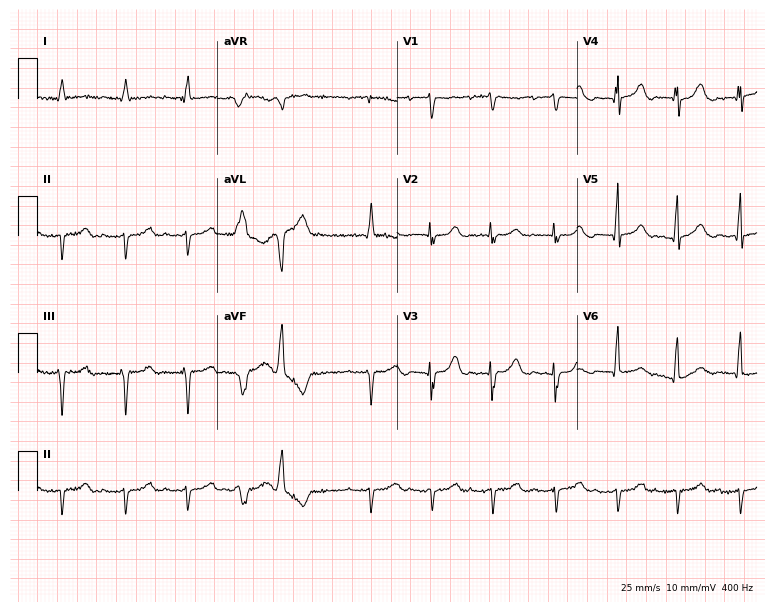
12-lead ECG from a 77-year-old male patient (7.3-second recording at 400 Hz). No first-degree AV block, right bundle branch block, left bundle branch block, sinus bradycardia, atrial fibrillation or sinus tachycardia recorded for this tracing. Only these six findings were labelled.